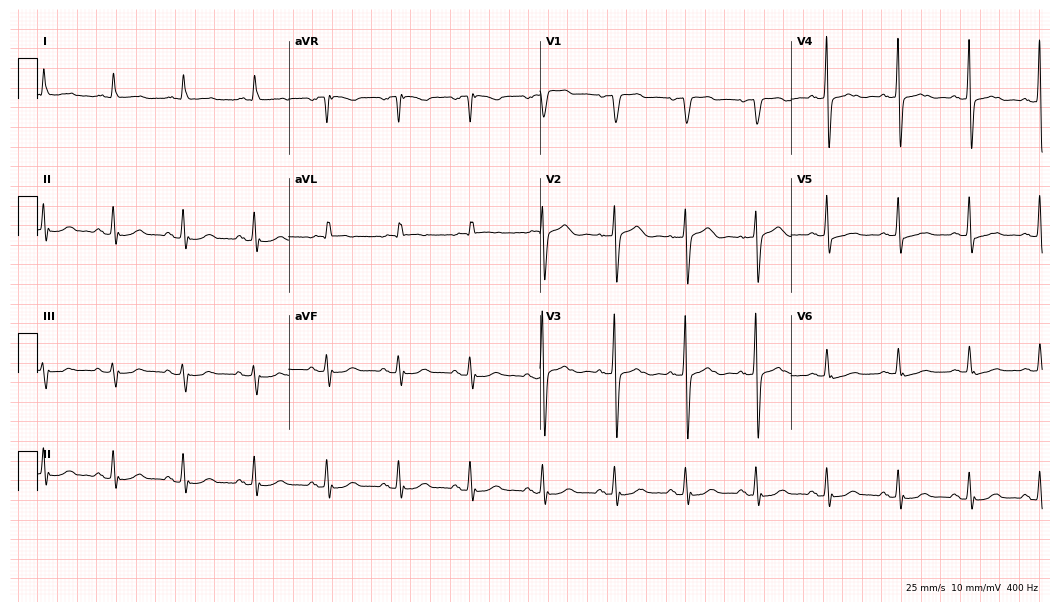
ECG (10.2-second recording at 400 Hz) — a female, 76 years old. Screened for six findings — first-degree AV block, right bundle branch block (RBBB), left bundle branch block (LBBB), sinus bradycardia, atrial fibrillation (AF), sinus tachycardia — none is recorded.